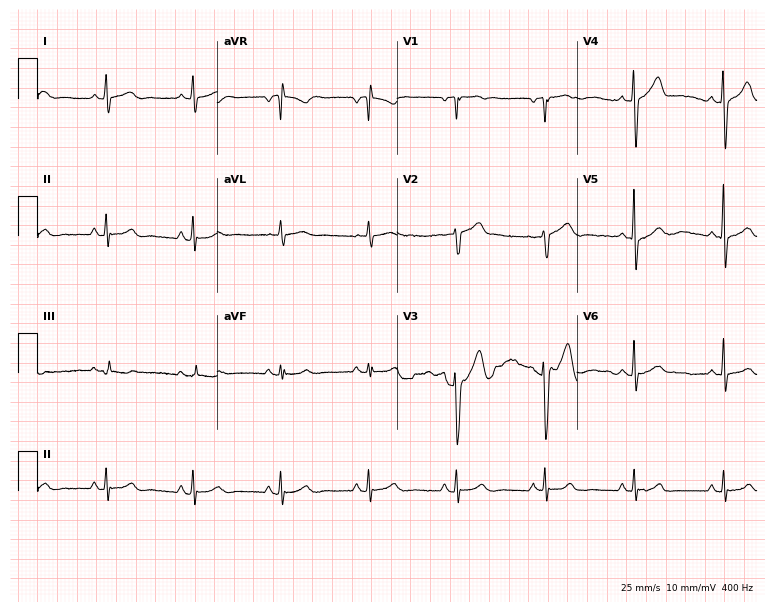
Standard 12-lead ECG recorded from a 69-year-old male patient. Read as a normal ECG.